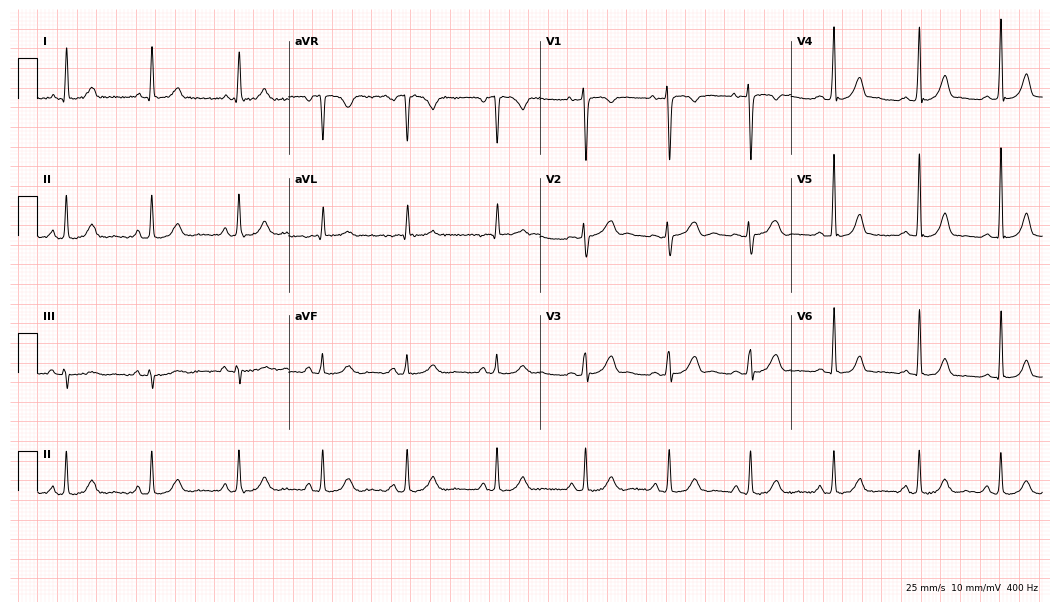
Resting 12-lead electrocardiogram (10.2-second recording at 400 Hz). Patient: a 29-year-old female. Read as a normal ECG.